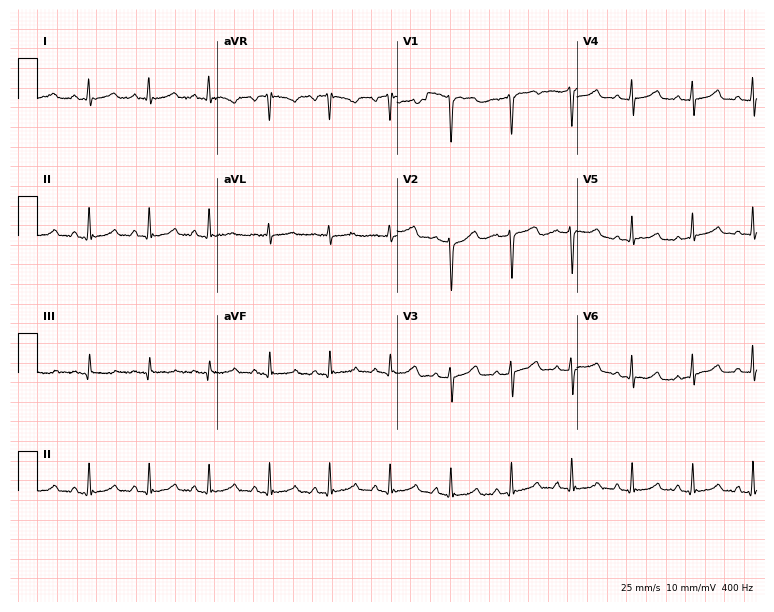
12-lead ECG from a 53-year-old woman (7.3-second recording at 400 Hz). Recorded interpretation: within normal limits.